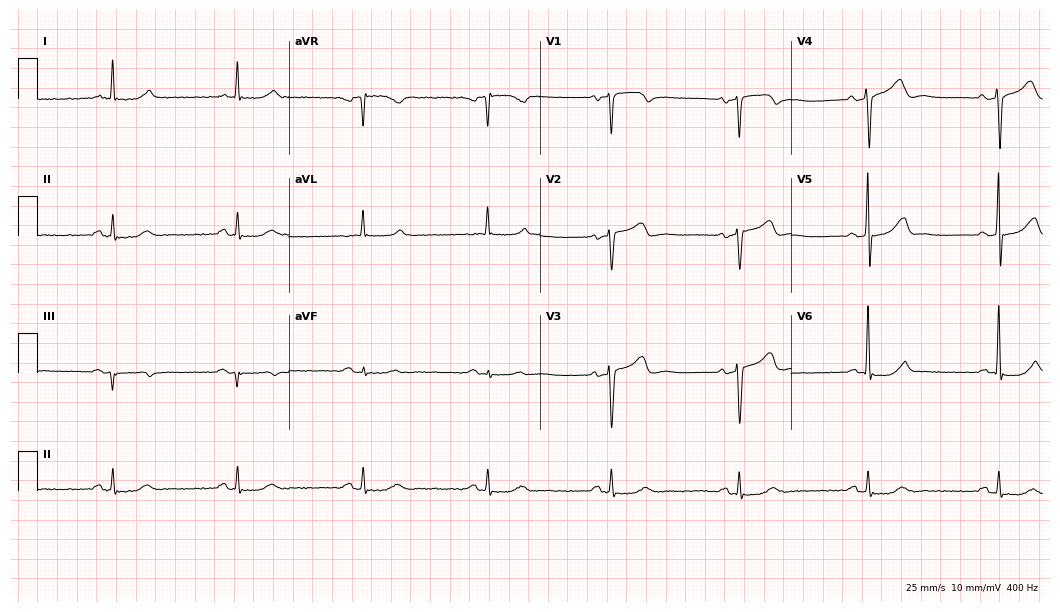
12-lead ECG from a male patient, 74 years old. Findings include sinus bradycardia (a sinus rate of 50 beats per minute or less).